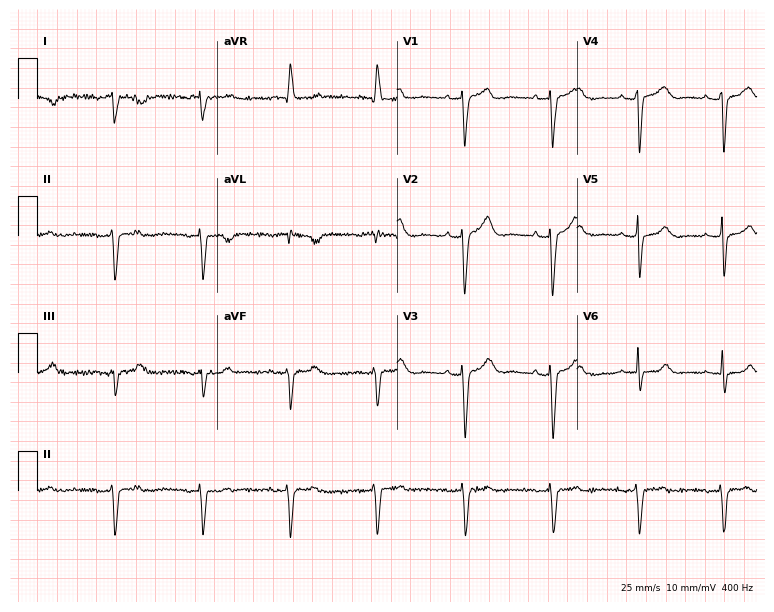
Resting 12-lead electrocardiogram (7.3-second recording at 400 Hz). Patient: a 72-year-old woman. None of these six findings is recorded: first-degree AV block, right bundle branch block, left bundle branch block, sinus bradycardia, atrial fibrillation, sinus tachycardia.